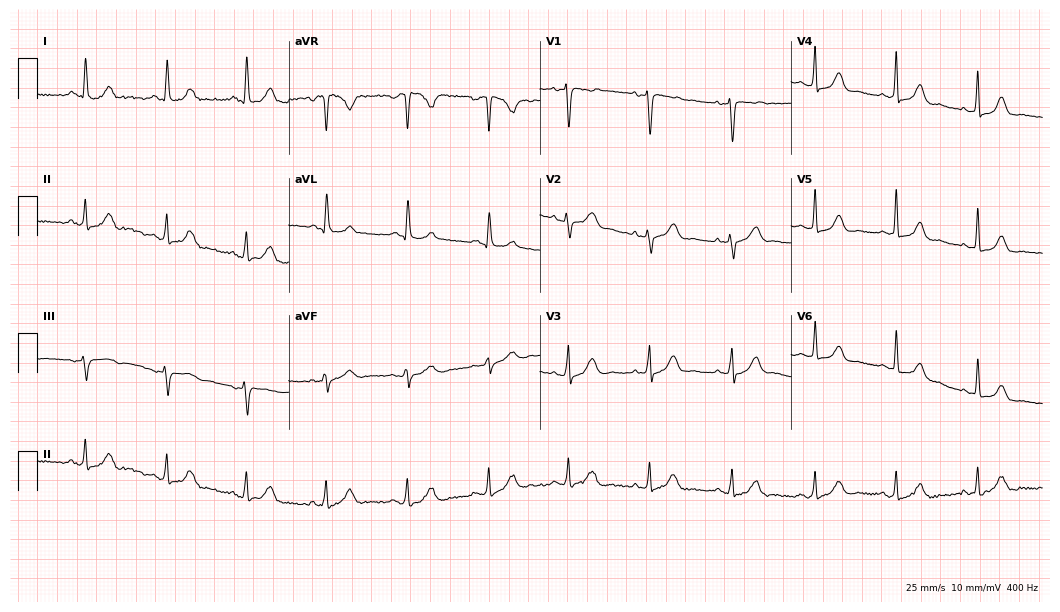
12-lead ECG from a female, 48 years old (10.2-second recording at 400 Hz). Recorded interpretation: within normal limits.